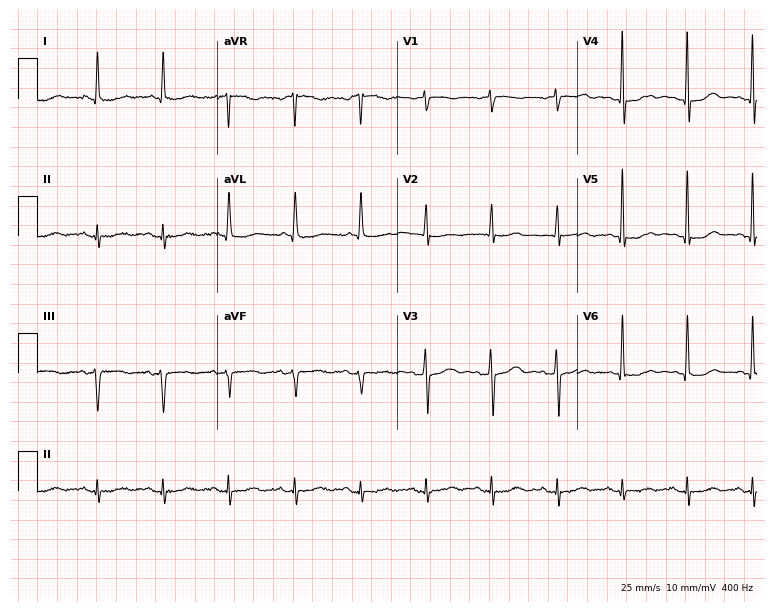
Standard 12-lead ECG recorded from an 82-year-old woman. None of these six findings is recorded: first-degree AV block, right bundle branch block, left bundle branch block, sinus bradycardia, atrial fibrillation, sinus tachycardia.